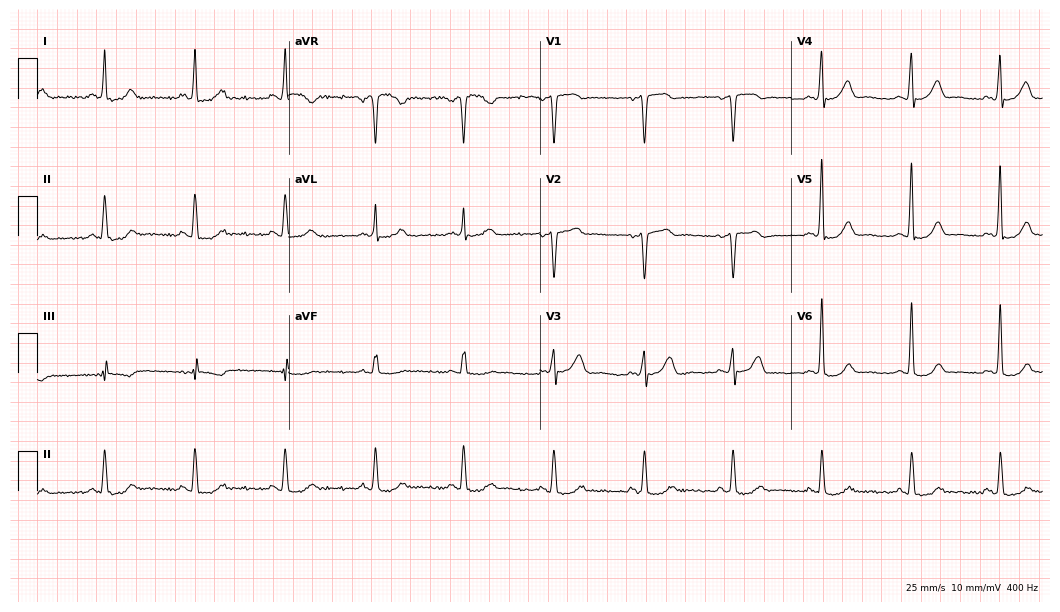
Standard 12-lead ECG recorded from a woman, 63 years old. Read as a normal ECG.